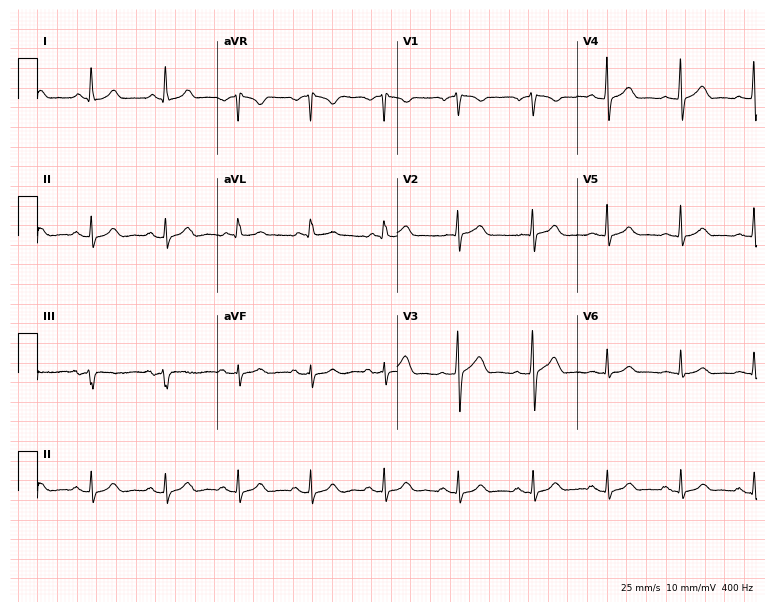
Electrocardiogram (7.3-second recording at 400 Hz), a 52-year-old male patient. Overall reading on record: normal ECG.